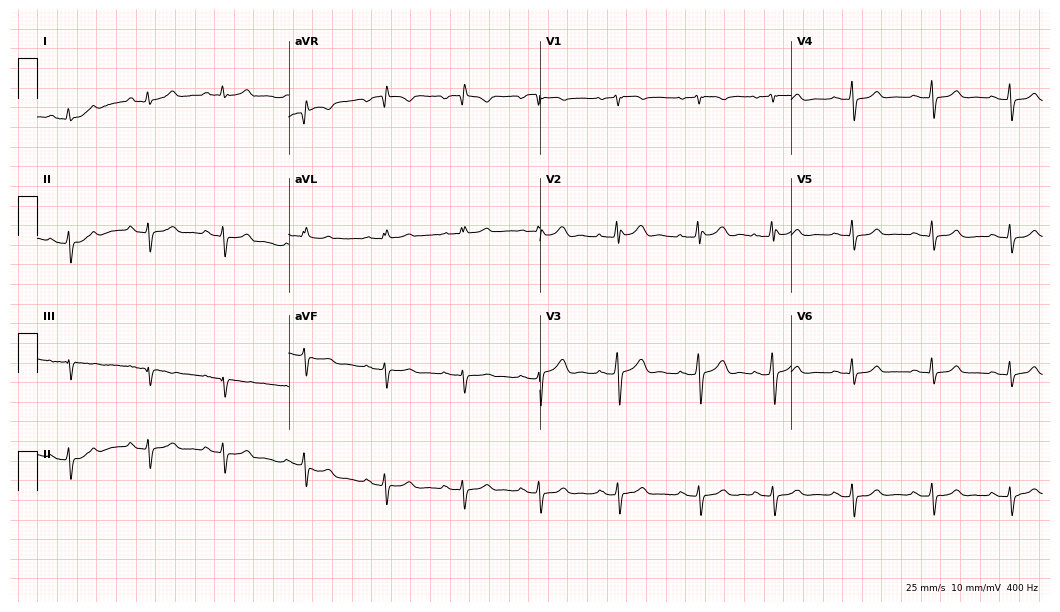
12-lead ECG (10.2-second recording at 400 Hz) from a woman, 19 years old. Screened for six findings — first-degree AV block, right bundle branch block, left bundle branch block, sinus bradycardia, atrial fibrillation, sinus tachycardia — none is recorded. Only these six findings were labelled.